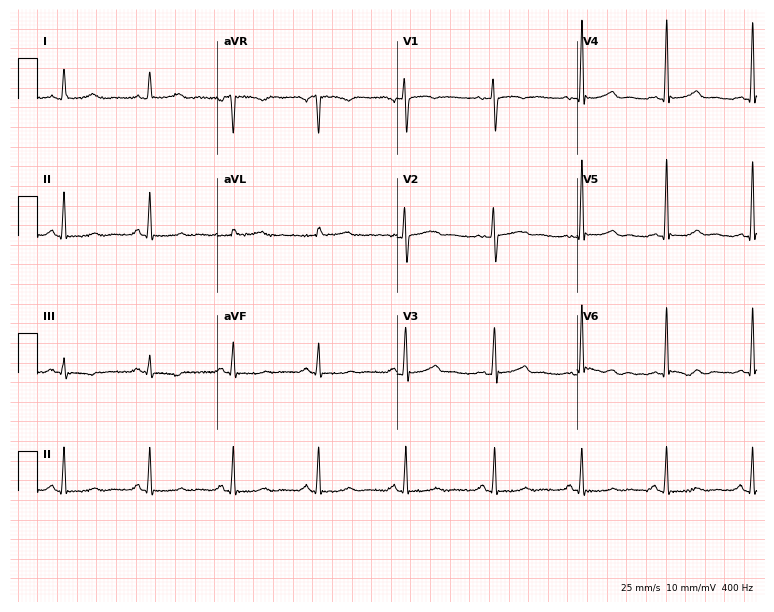
Standard 12-lead ECG recorded from a woman, 39 years old. None of these six findings is recorded: first-degree AV block, right bundle branch block (RBBB), left bundle branch block (LBBB), sinus bradycardia, atrial fibrillation (AF), sinus tachycardia. Only these six findings were labelled.